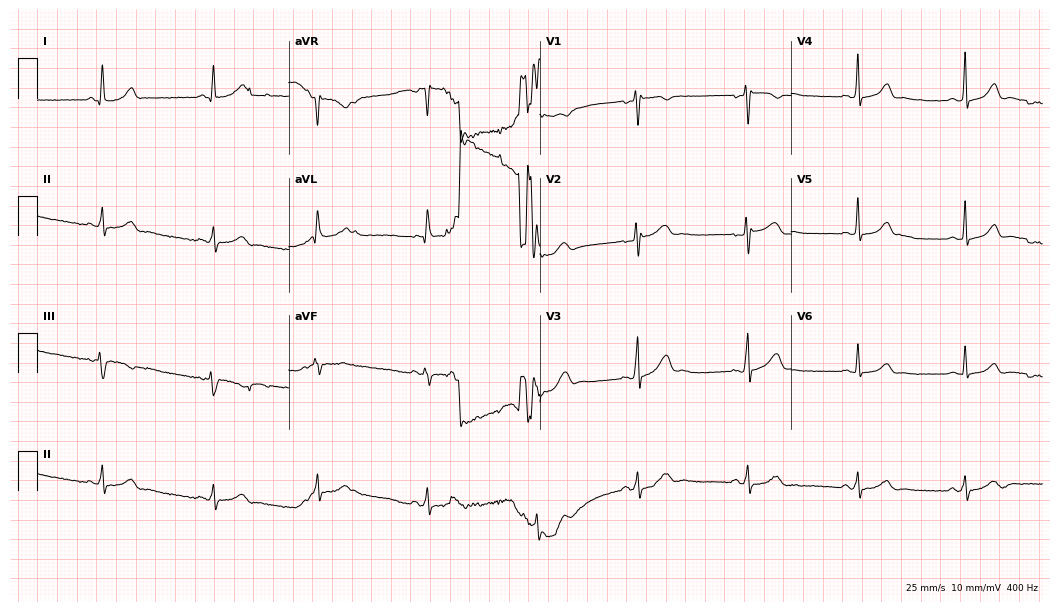
Resting 12-lead electrocardiogram. Patient: a female, 21 years old. None of these six findings is recorded: first-degree AV block, right bundle branch block (RBBB), left bundle branch block (LBBB), sinus bradycardia, atrial fibrillation (AF), sinus tachycardia.